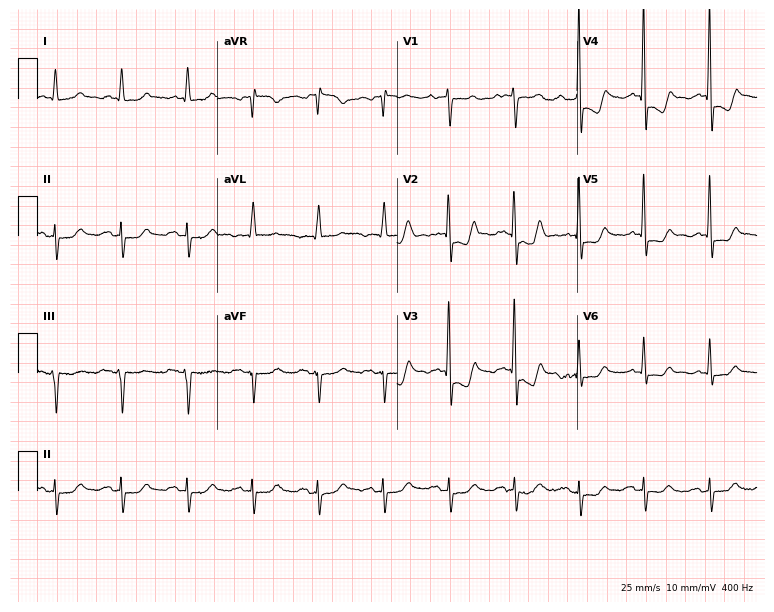
12-lead ECG from an 80-year-old female (7.3-second recording at 400 Hz). No first-degree AV block, right bundle branch block (RBBB), left bundle branch block (LBBB), sinus bradycardia, atrial fibrillation (AF) or sinus tachycardia recorded for this tracing.